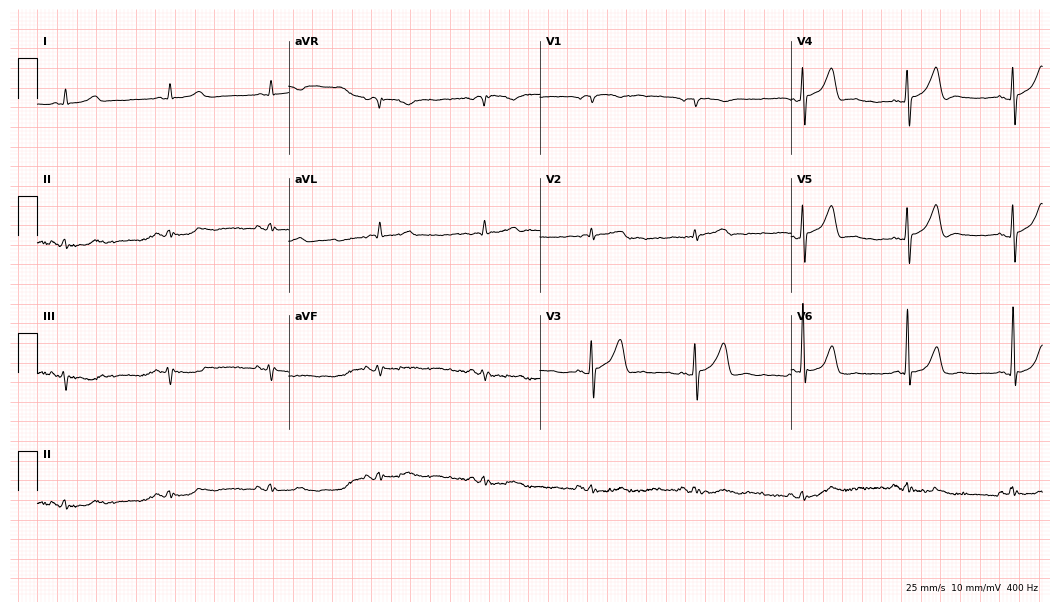
Standard 12-lead ECG recorded from a 72-year-old male patient (10.2-second recording at 400 Hz). None of these six findings is recorded: first-degree AV block, right bundle branch block, left bundle branch block, sinus bradycardia, atrial fibrillation, sinus tachycardia.